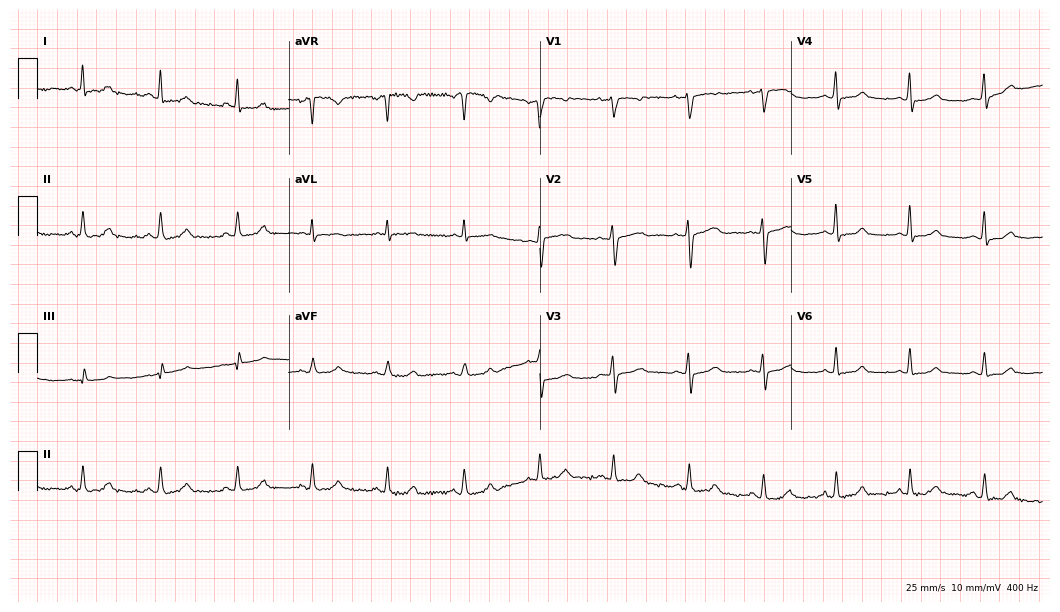
Resting 12-lead electrocardiogram. Patient: a 52-year-old female. Read as a normal ECG.